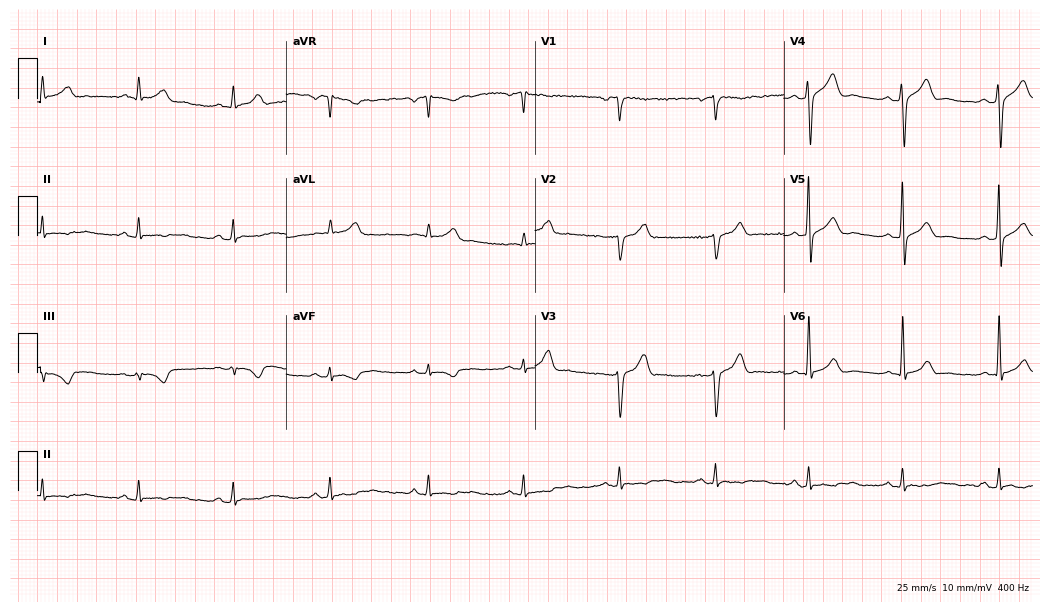
Standard 12-lead ECG recorded from a man, 49 years old. None of these six findings is recorded: first-degree AV block, right bundle branch block (RBBB), left bundle branch block (LBBB), sinus bradycardia, atrial fibrillation (AF), sinus tachycardia. Other findings, if any, are not listed.